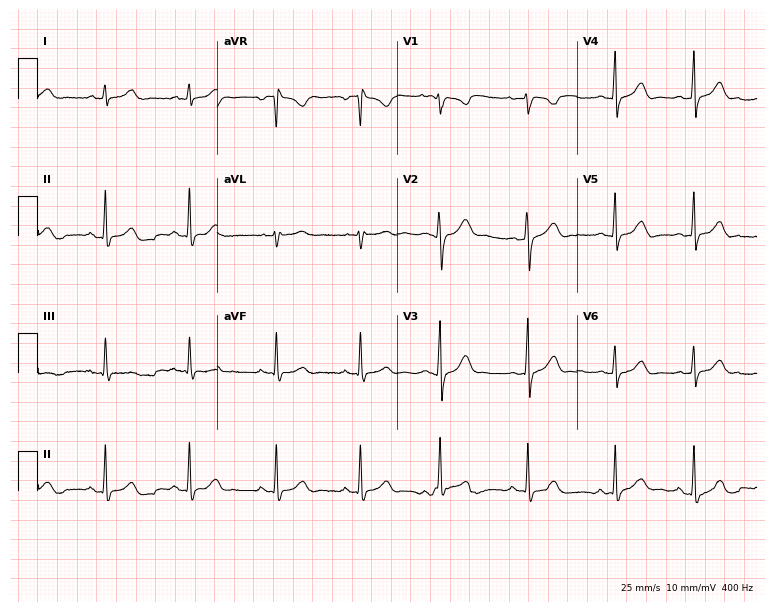
Electrocardiogram (7.3-second recording at 400 Hz), a woman, 20 years old. Overall reading on record: normal ECG.